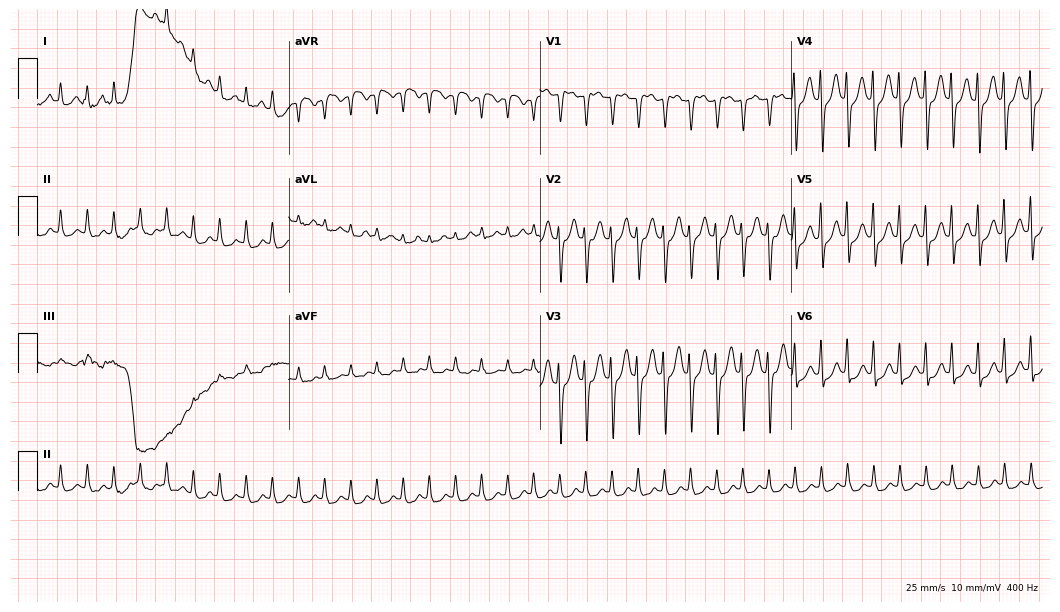
12-lead ECG from a 46-year-old female patient (10.2-second recording at 400 Hz). Shows sinus tachycardia (a sinus rate of 100 beats per minute or more).